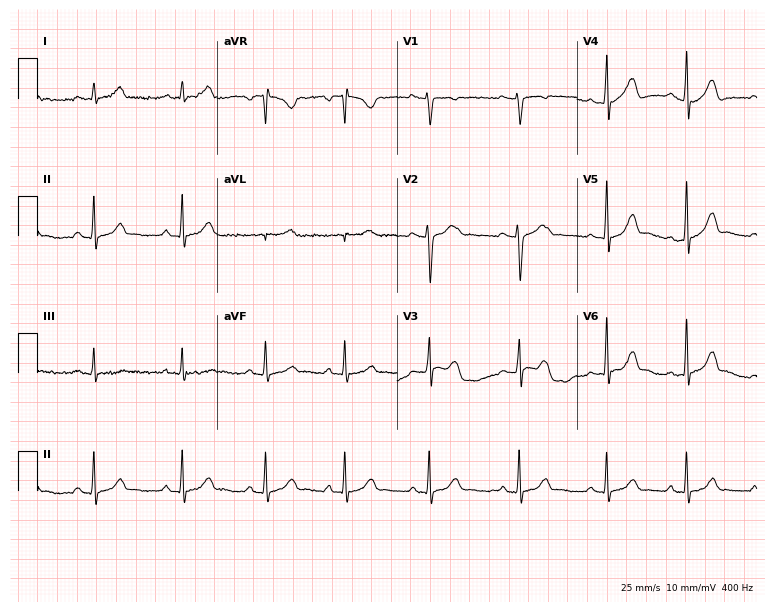
Electrocardiogram, a 17-year-old female patient. Overall reading on record: normal ECG.